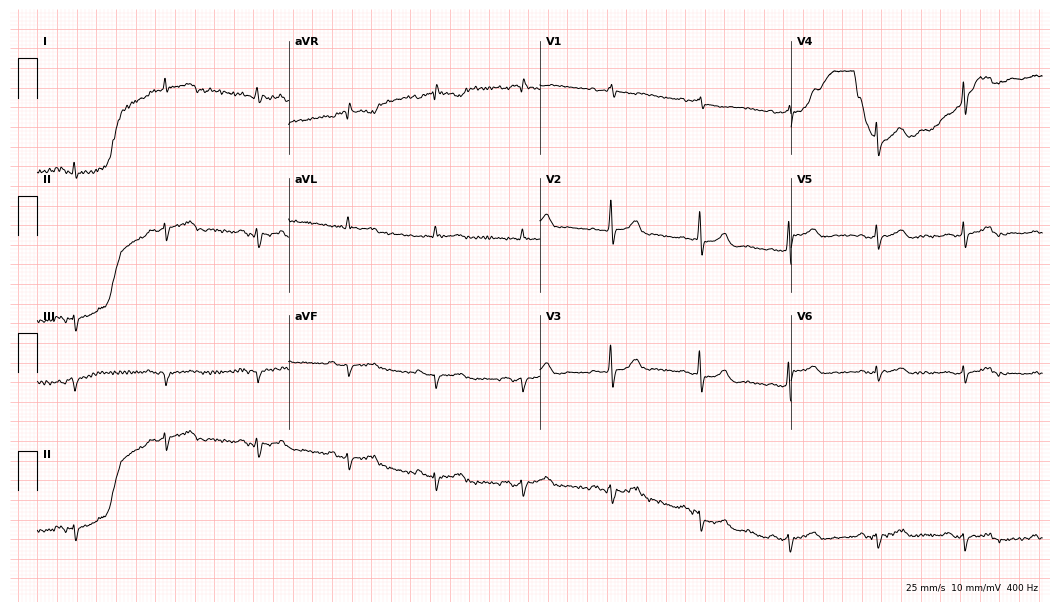
Standard 12-lead ECG recorded from a male patient, 72 years old. None of these six findings is recorded: first-degree AV block, right bundle branch block (RBBB), left bundle branch block (LBBB), sinus bradycardia, atrial fibrillation (AF), sinus tachycardia.